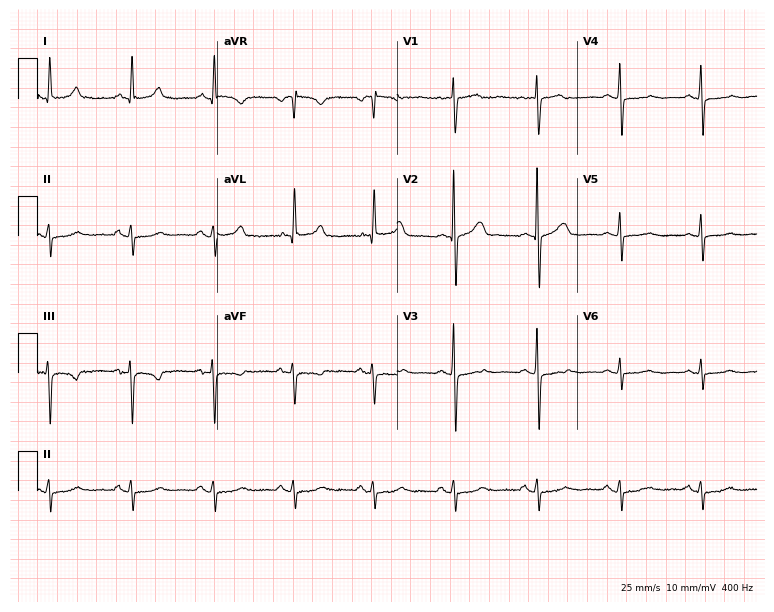
Resting 12-lead electrocardiogram (7.3-second recording at 400 Hz). Patient: a 62-year-old woman. None of these six findings is recorded: first-degree AV block, right bundle branch block, left bundle branch block, sinus bradycardia, atrial fibrillation, sinus tachycardia. Only these six findings were labelled.